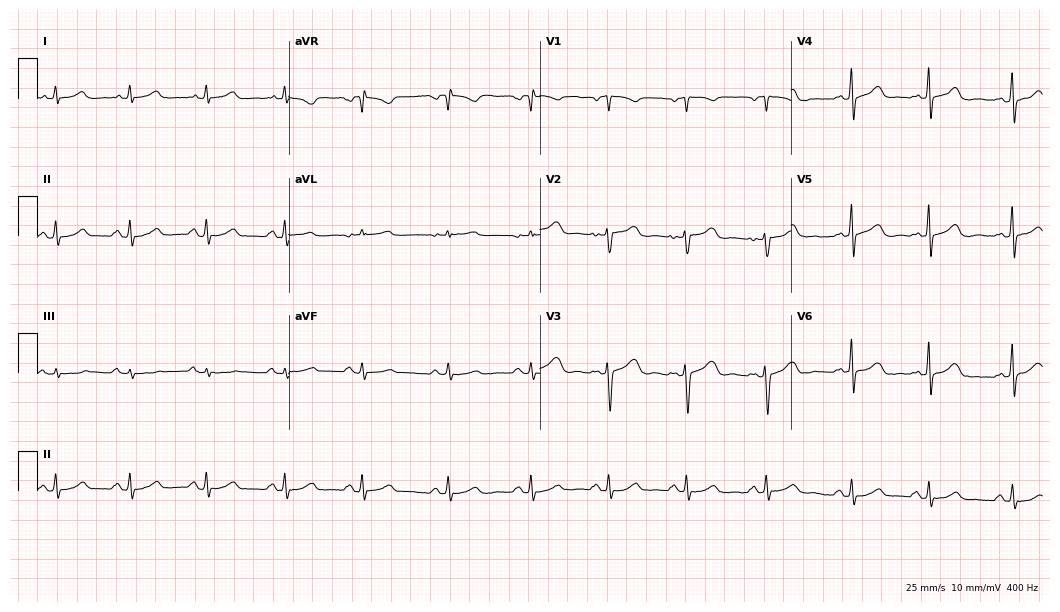
12-lead ECG from a 39-year-old woman. Recorded interpretation: within normal limits.